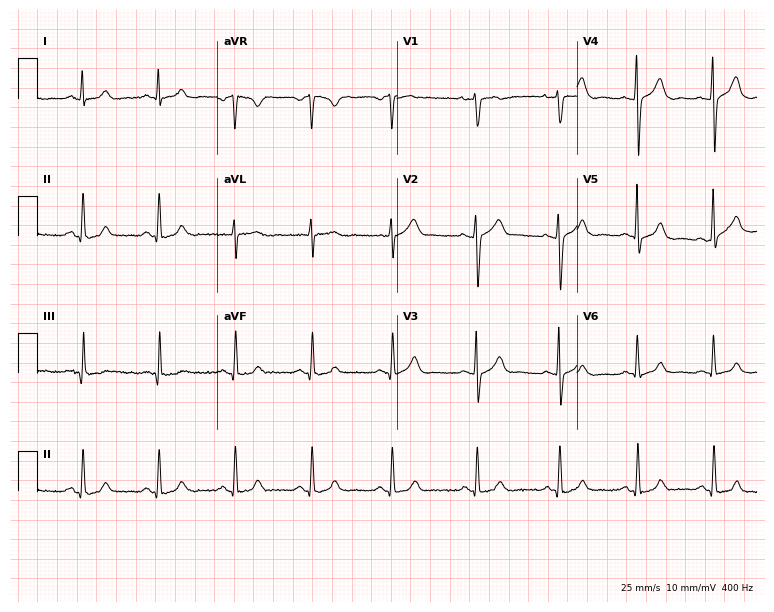
Electrocardiogram, a 35-year-old woman. Overall reading on record: normal ECG.